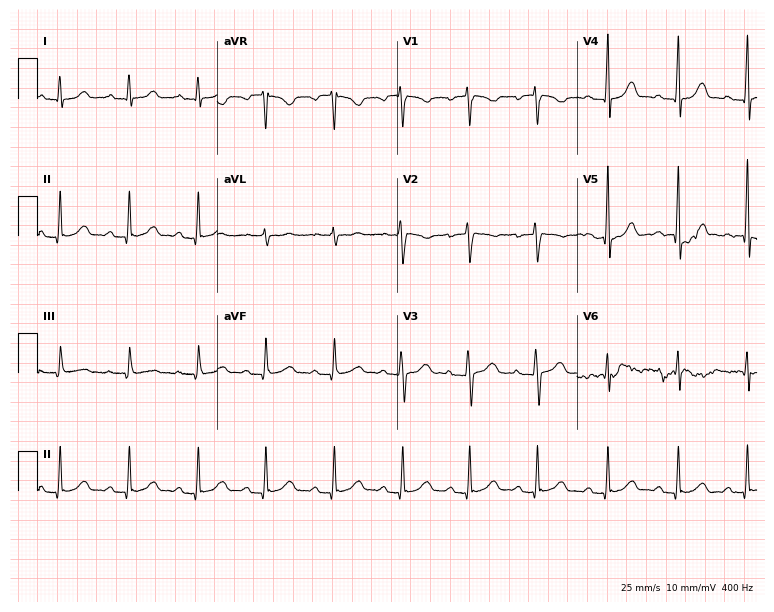
Electrocardiogram, a 39-year-old female patient. Overall reading on record: normal ECG.